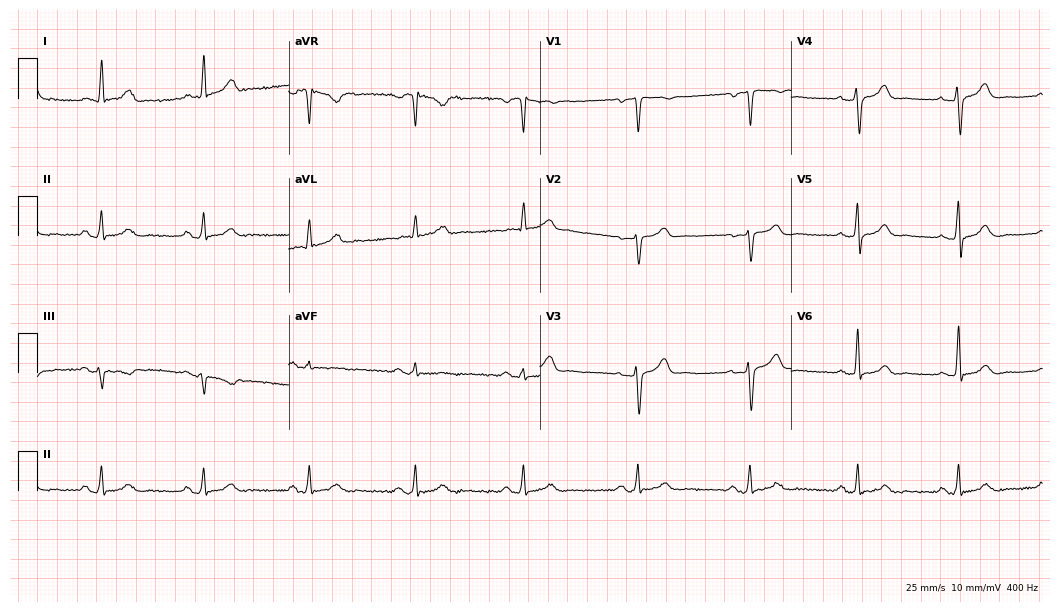
12-lead ECG from a female patient, 52 years old (10.2-second recording at 400 Hz). No first-degree AV block, right bundle branch block (RBBB), left bundle branch block (LBBB), sinus bradycardia, atrial fibrillation (AF) or sinus tachycardia recorded for this tracing. Findings outside these six are not listed.